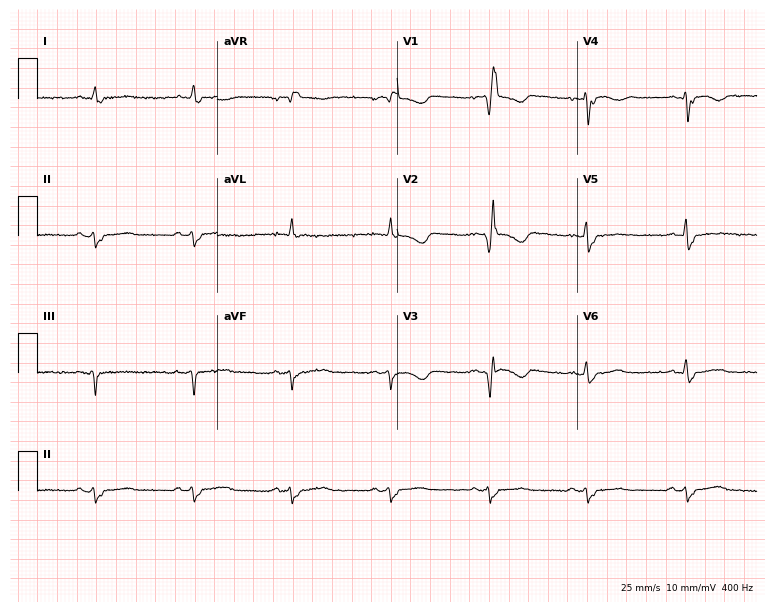
ECG — an 87-year-old male. Findings include right bundle branch block.